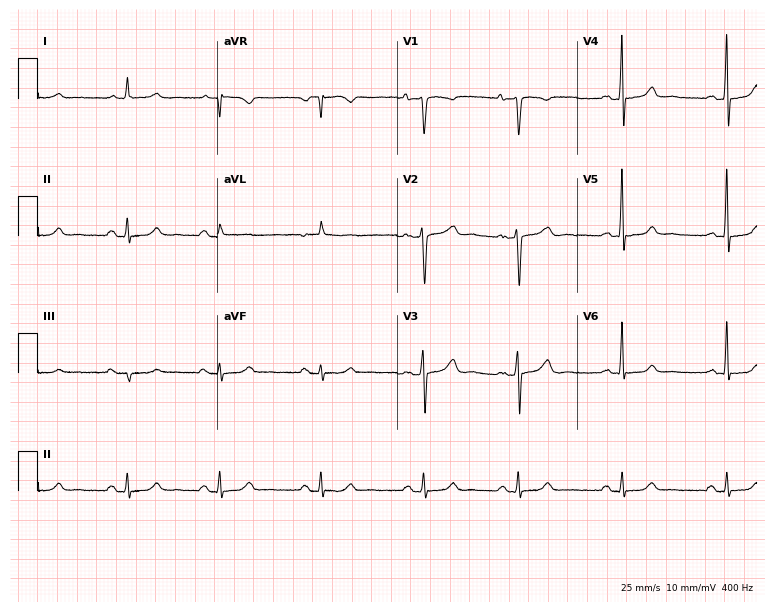
12-lead ECG from a female patient, 37 years old (7.3-second recording at 400 Hz). Recorded interpretation: within normal limits.